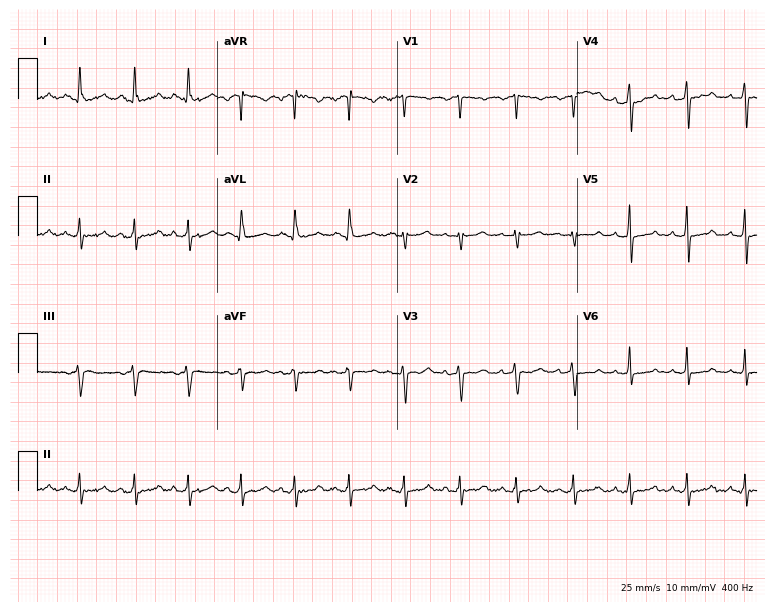
Electrocardiogram (7.3-second recording at 400 Hz), a 68-year-old female. Interpretation includes sinus tachycardia (a sinus rate of 100 beats per minute or more).